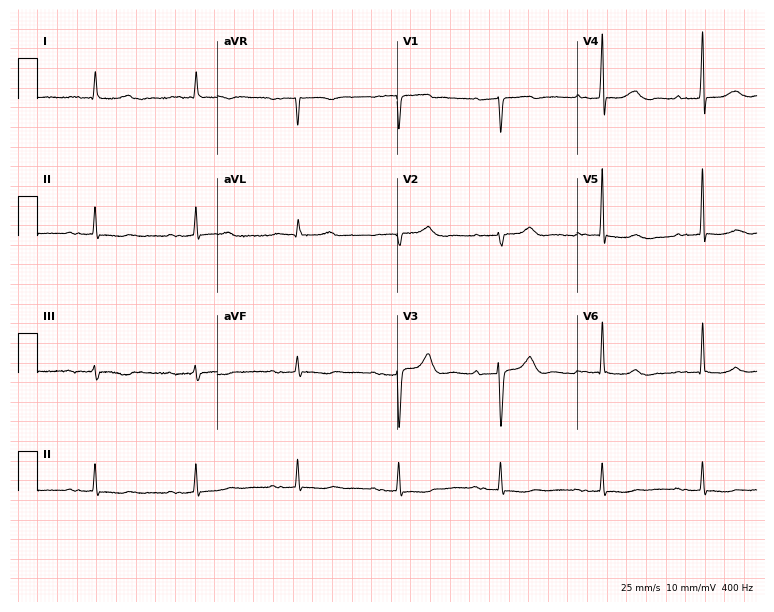
ECG — a man, 84 years old. Findings include first-degree AV block.